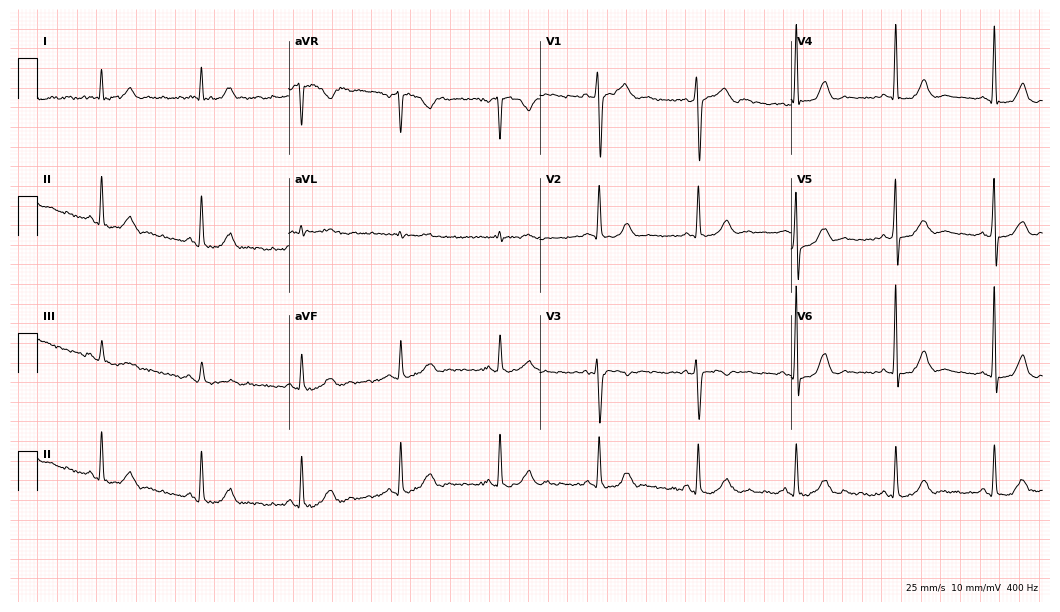
Electrocardiogram, a male patient, 63 years old. Of the six screened findings (first-degree AV block, right bundle branch block, left bundle branch block, sinus bradycardia, atrial fibrillation, sinus tachycardia), none is recorded.